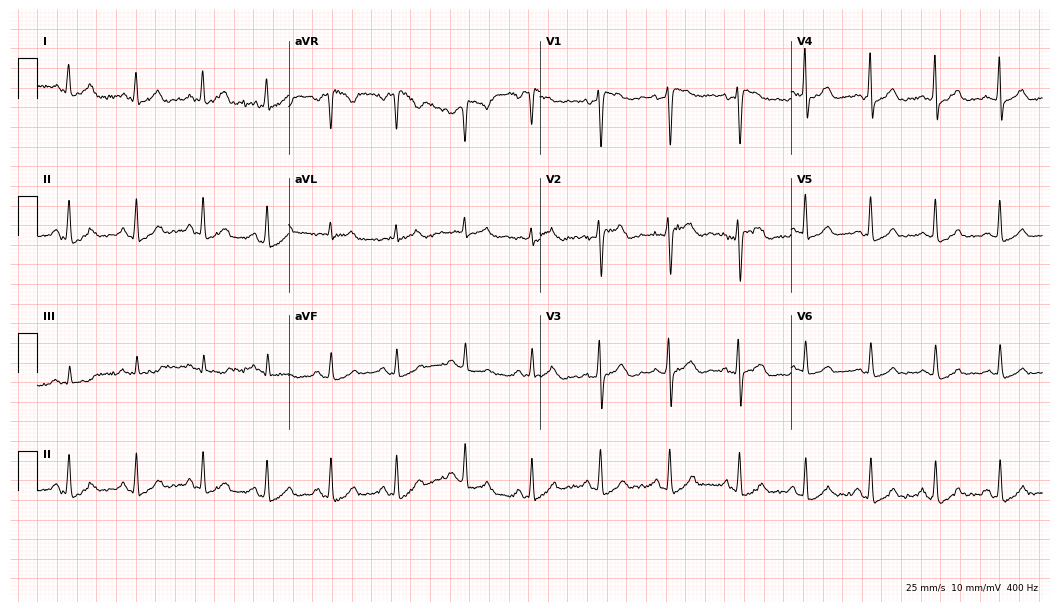
Standard 12-lead ECG recorded from a 57-year-old female patient. Read as a normal ECG.